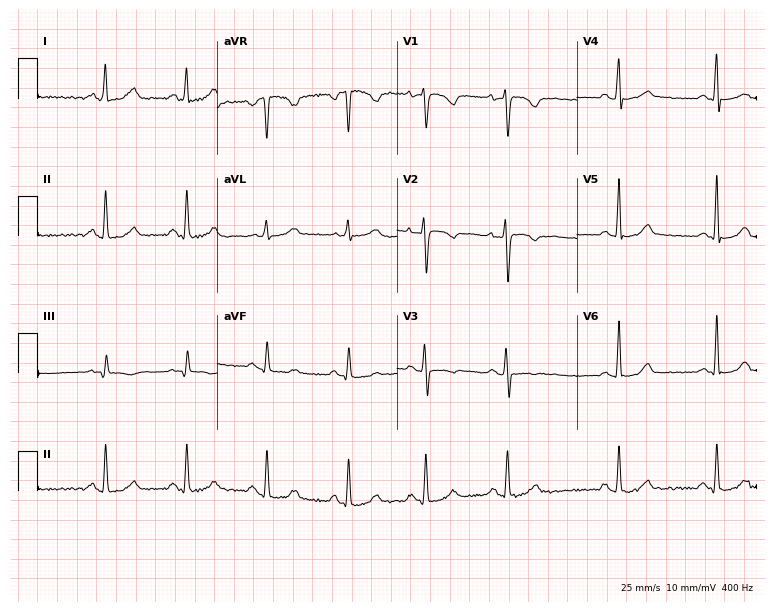
Standard 12-lead ECG recorded from a female patient, 28 years old (7.3-second recording at 400 Hz). None of these six findings is recorded: first-degree AV block, right bundle branch block, left bundle branch block, sinus bradycardia, atrial fibrillation, sinus tachycardia. Only these six findings were labelled.